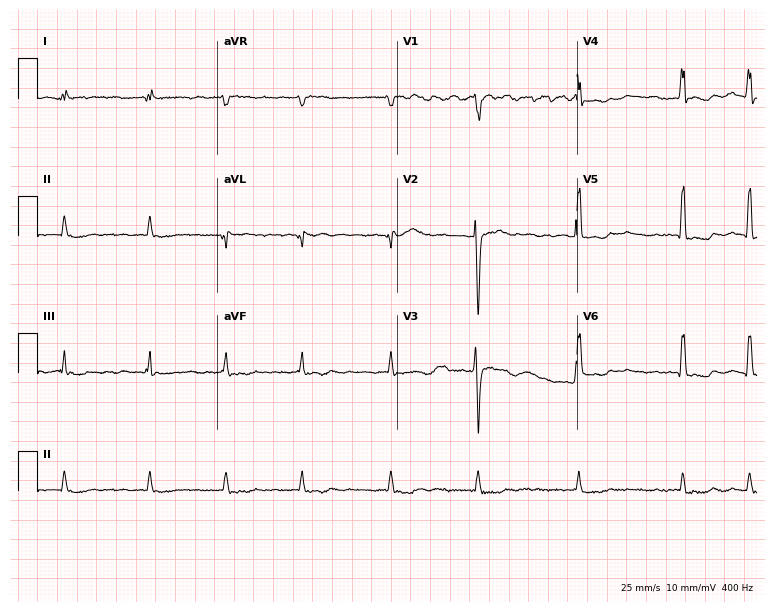
Standard 12-lead ECG recorded from a male patient, 43 years old. The tracing shows atrial fibrillation (AF).